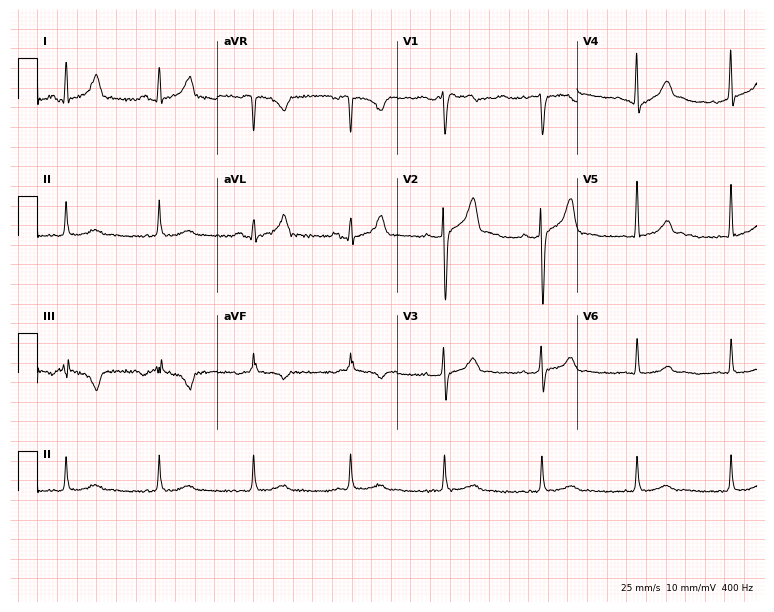
Electrocardiogram, a 36-year-old man. Overall reading on record: normal ECG.